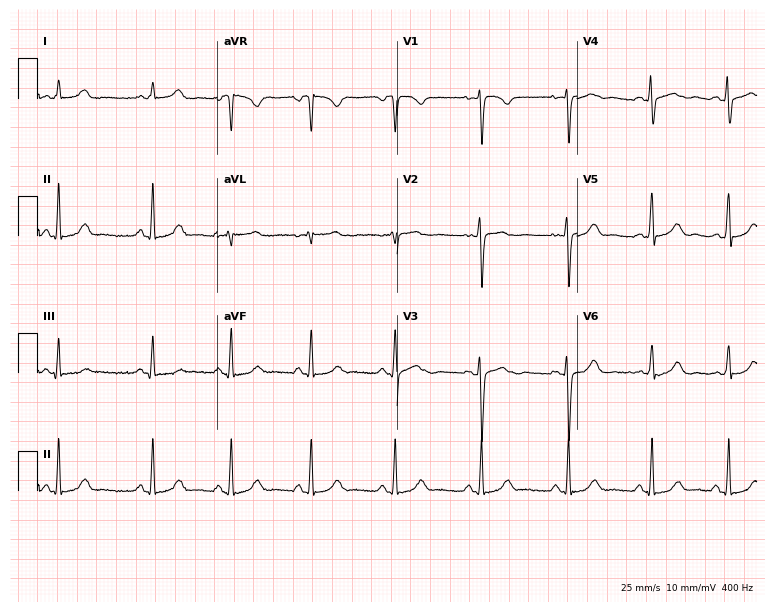
12-lead ECG from a female patient, 29 years old. Recorded interpretation: within normal limits.